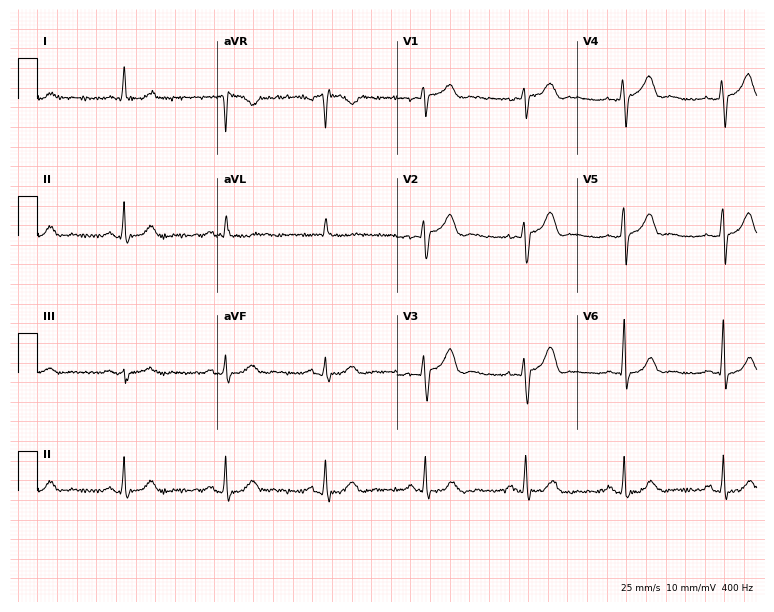
Resting 12-lead electrocardiogram. Patient: a man, 66 years old. Read as a normal ECG.